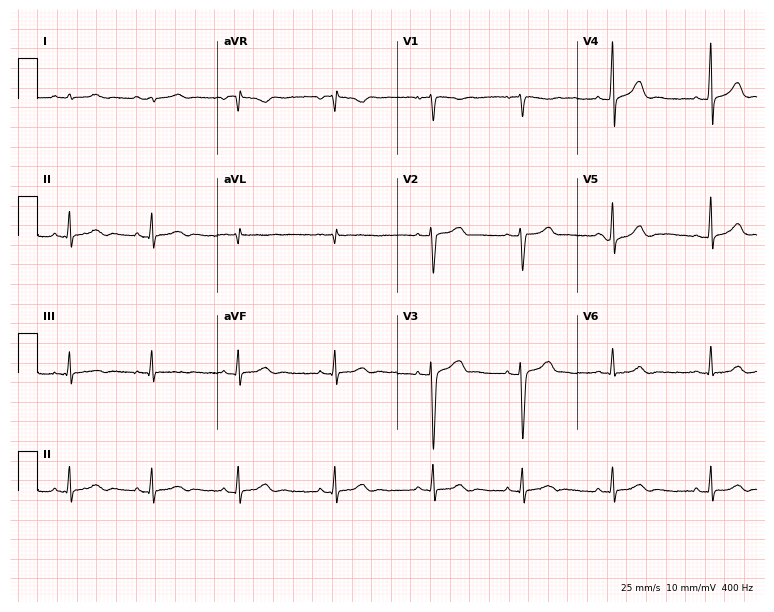
Resting 12-lead electrocardiogram. Patient: a female, 20 years old. Read as a normal ECG.